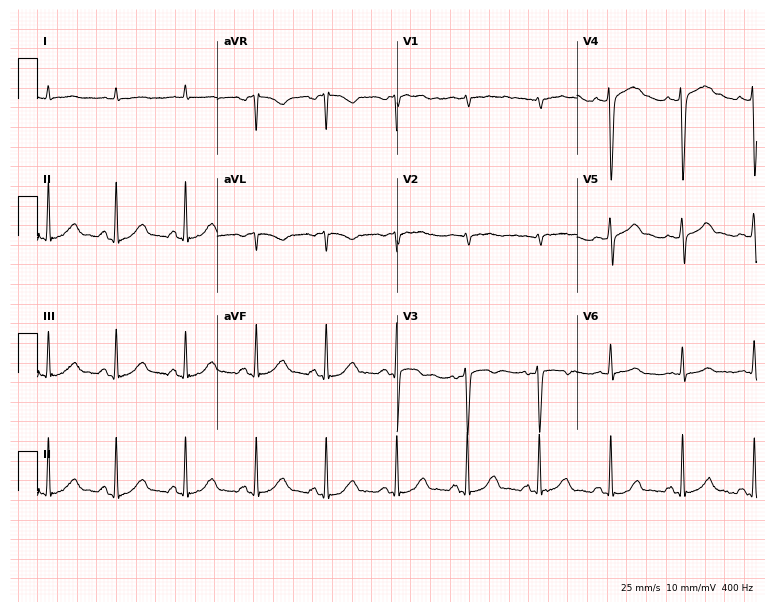
12-lead ECG (7.3-second recording at 400 Hz) from a man, 53 years old. Screened for six findings — first-degree AV block, right bundle branch block, left bundle branch block, sinus bradycardia, atrial fibrillation, sinus tachycardia — none is recorded.